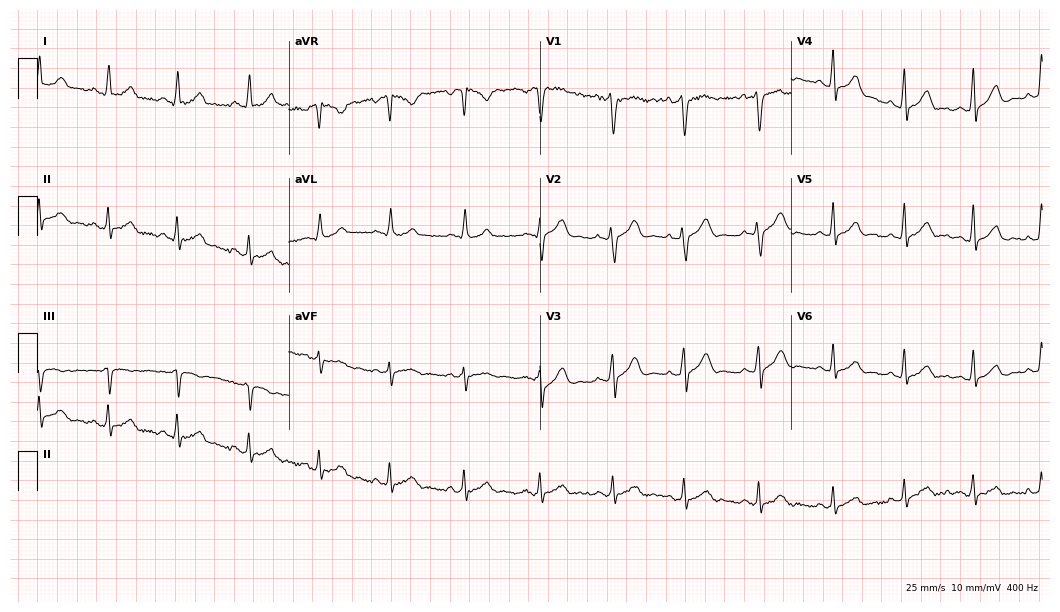
ECG (10.2-second recording at 400 Hz) — a 23-year-old man. Labelled as a normal ECG.